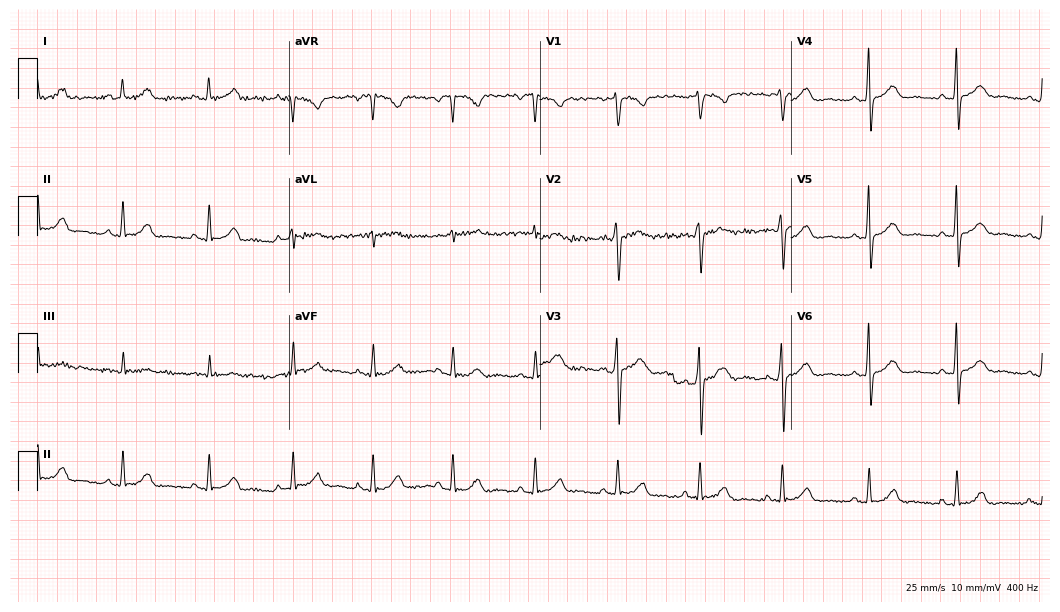
Standard 12-lead ECG recorded from a 49-year-old woman (10.2-second recording at 400 Hz). Read as a normal ECG.